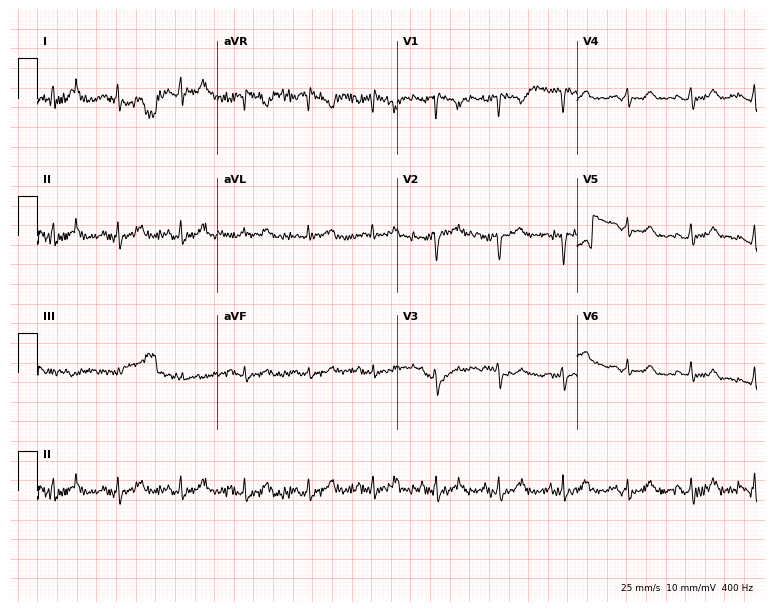
ECG (7.3-second recording at 400 Hz) — a 47-year-old woman. Screened for six findings — first-degree AV block, right bundle branch block, left bundle branch block, sinus bradycardia, atrial fibrillation, sinus tachycardia — none is recorded.